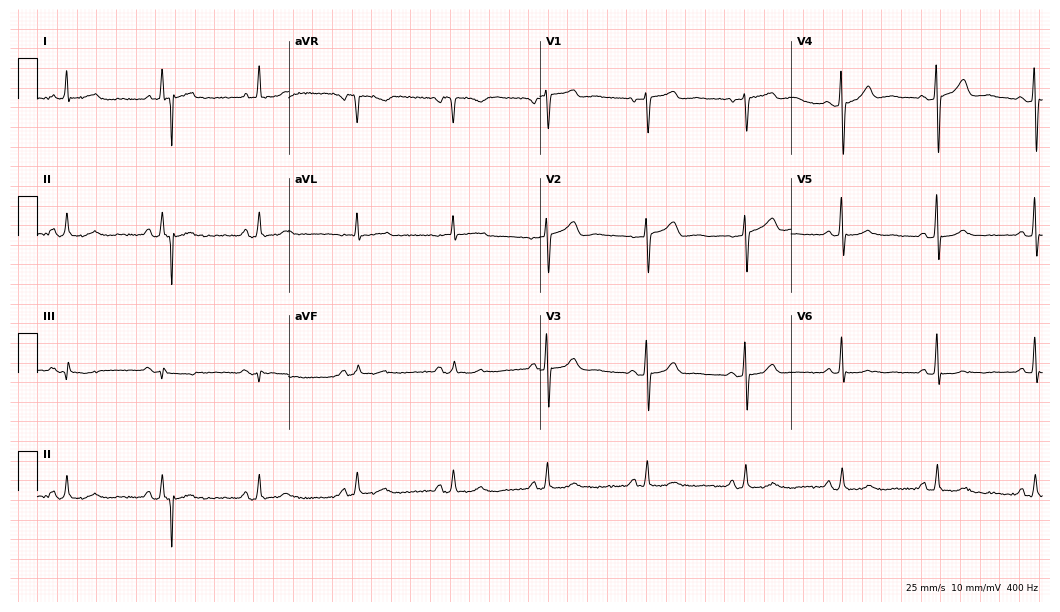
Resting 12-lead electrocardiogram (10.2-second recording at 400 Hz). Patient: a 61-year-old woman. None of these six findings is recorded: first-degree AV block, right bundle branch block (RBBB), left bundle branch block (LBBB), sinus bradycardia, atrial fibrillation (AF), sinus tachycardia.